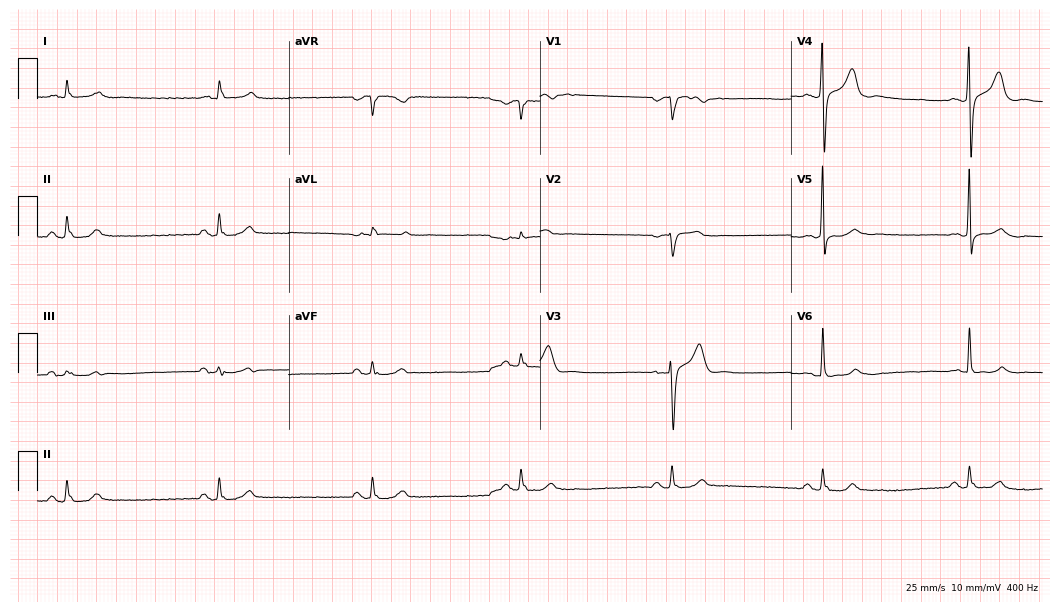
12-lead ECG (10.2-second recording at 400 Hz) from a 66-year-old man. Findings include sinus bradycardia (a sinus rate of 50 beats per minute or less).